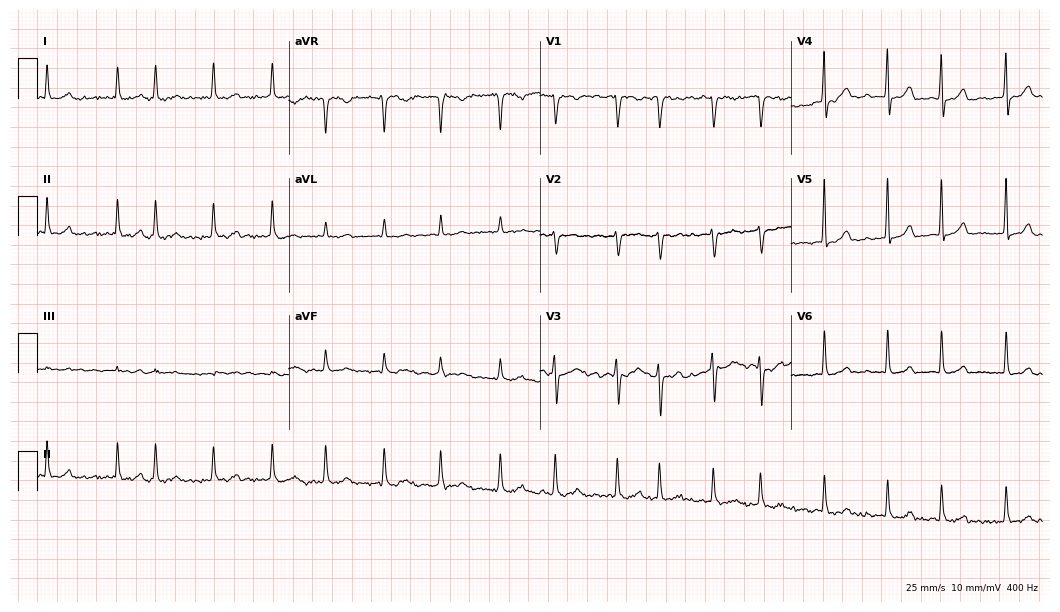
Standard 12-lead ECG recorded from a 76-year-old female patient (10.2-second recording at 400 Hz). The tracing shows atrial fibrillation.